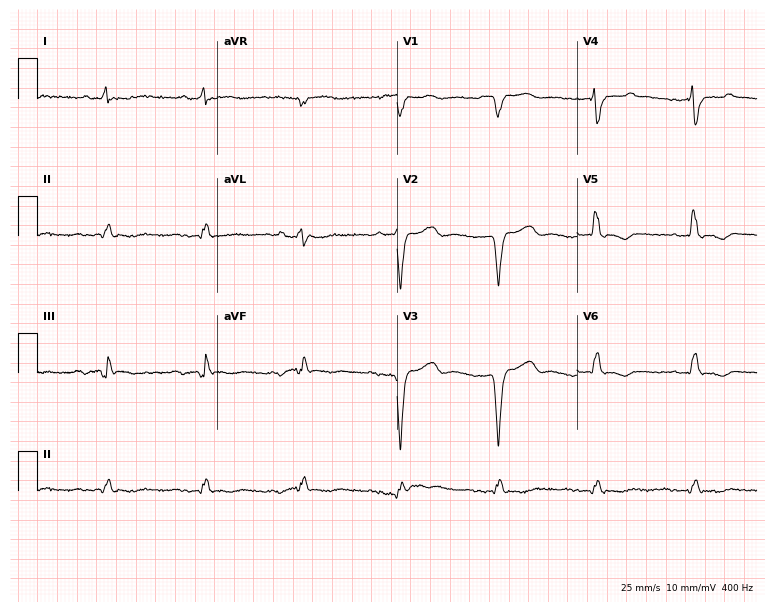
Resting 12-lead electrocardiogram. Patient: a 71-year-old male. None of these six findings is recorded: first-degree AV block, right bundle branch block, left bundle branch block, sinus bradycardia, atrial fibrillation, sinus tachycardia. Findings outside these six are not listed.